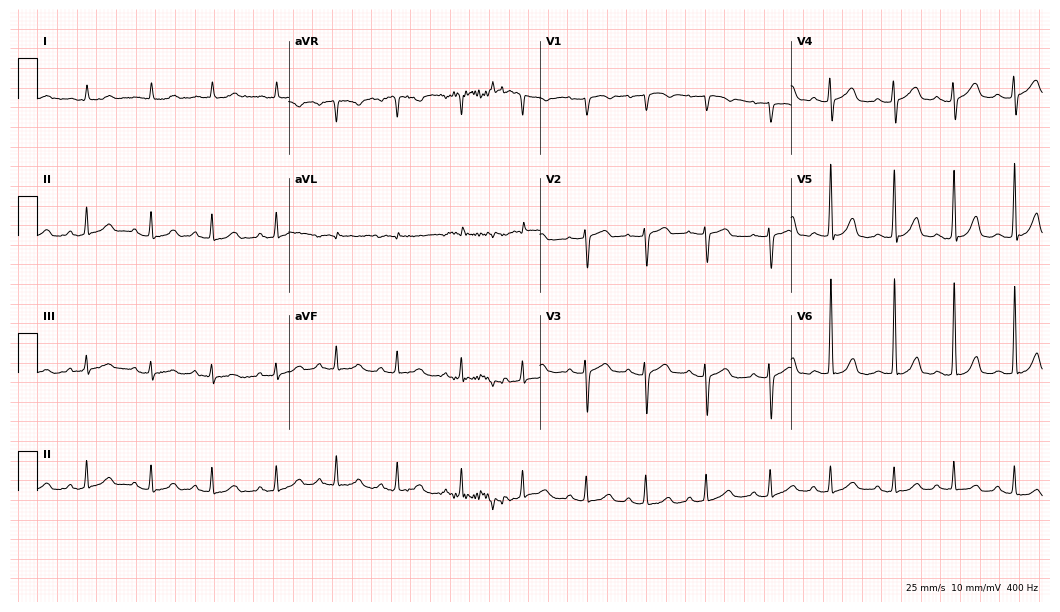
12-lead ECG from a woman, 74 years old. Labelled as a normal ECG.